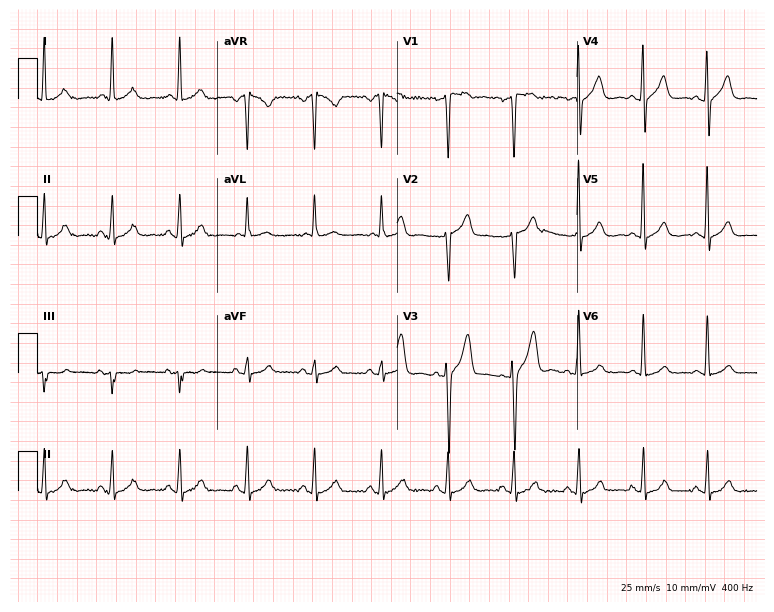
ECG (7.3-second recording at 400 Hz) — a 48-year-old man. Labelled as a normal ECG.